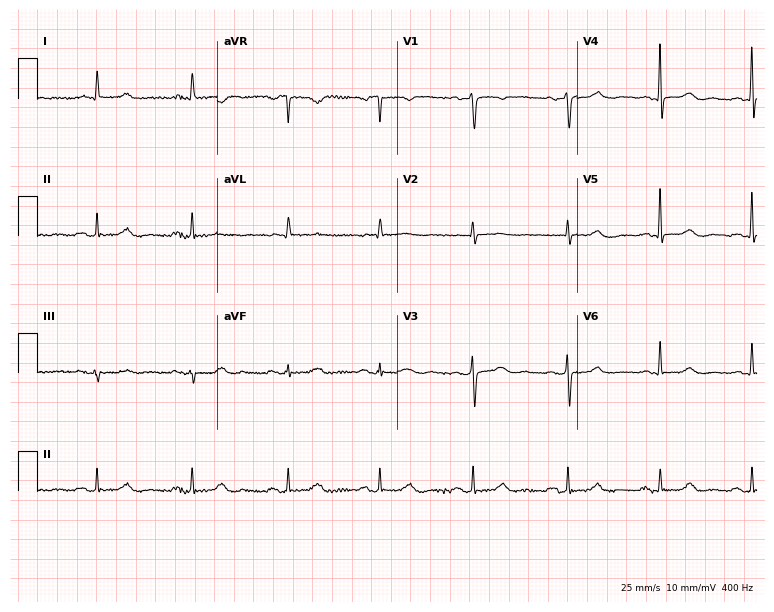
Standard 12-lead ECG recorded from a female patient, 76 years old. Read as a normal ECG.